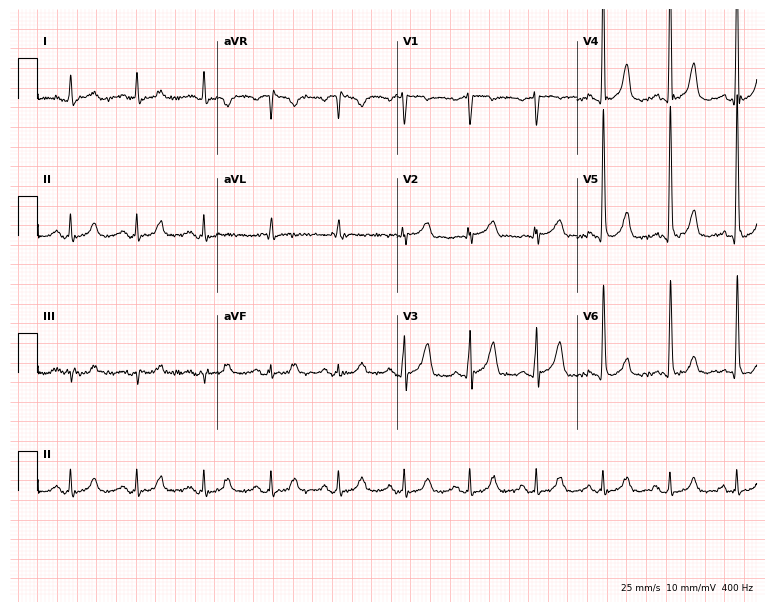
Resting 12-lead electrocardiogram (7.3-second recording at 400 Hz). Patient: a 77-year-old man. Read as a normal ECG.